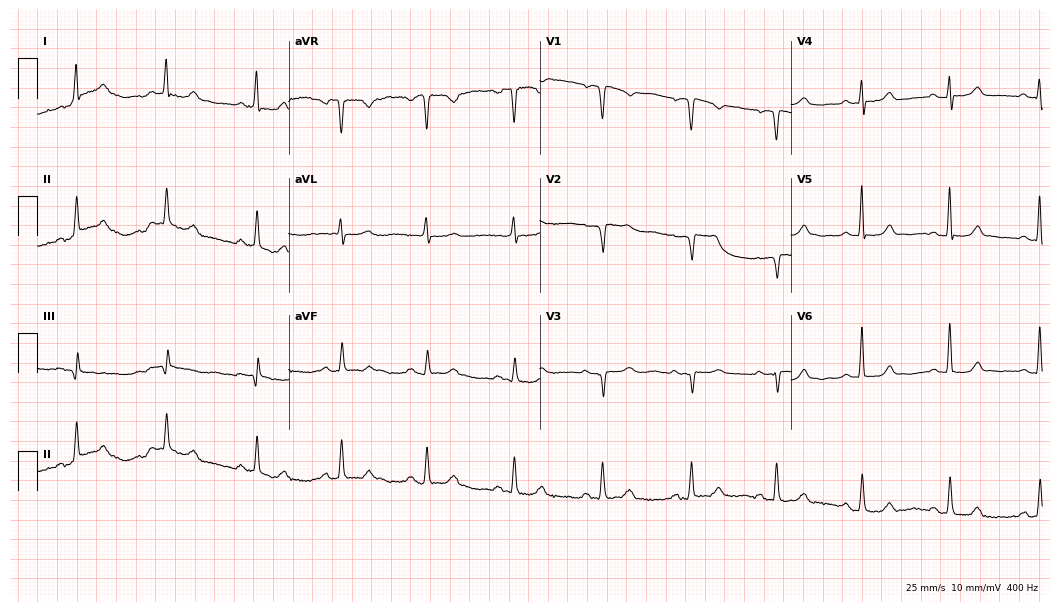
12-lead ECG (10.2-second recording at 400 Hz) from a female, 62 years old. Screened for six findings — first-degree AV block, right bundle branch block, left bundle branch block, sinus bradycardia, atrial fibrillation, sinus tachycardia — none is recorded.